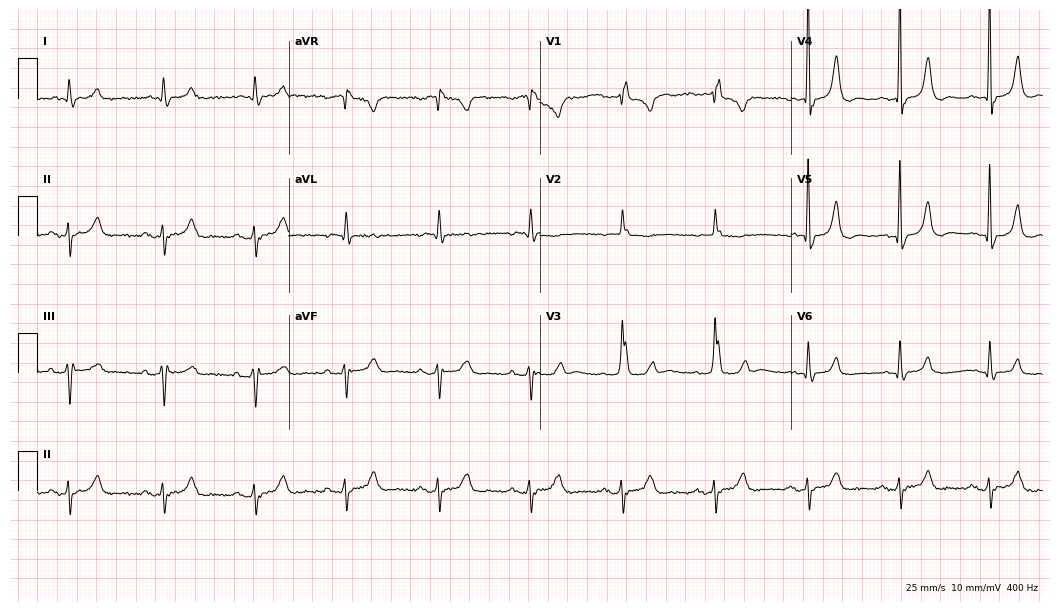
Standard 12-lead ECG recorded from a 74-year-old male patient. None of these six findings is recorded: first-degree AV block, right bundle branch block (RBBB), left bundle branch block (LBBB), sinus bradycardia, atrial fibrillation (AF), sinus tachycardia. Findings outside these six are not listed.